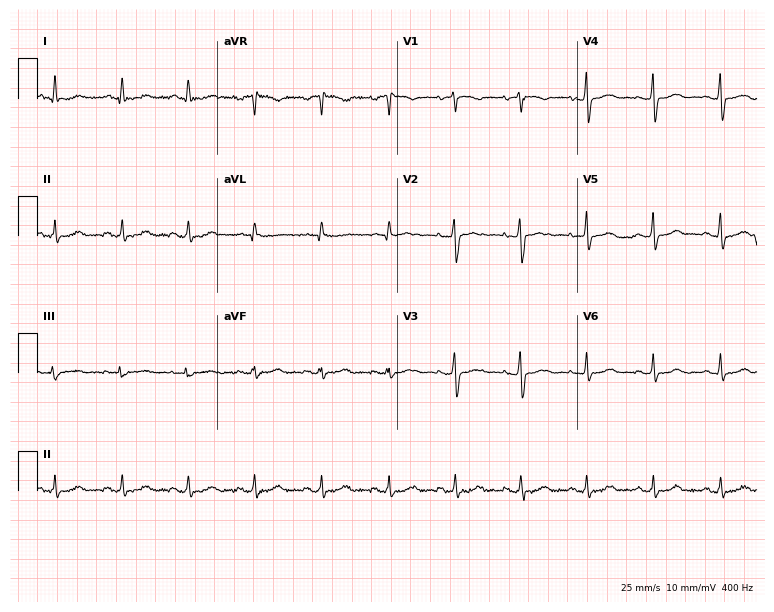
12-lead ECG from a 44-year-old female. Labelled as a normal ECG.